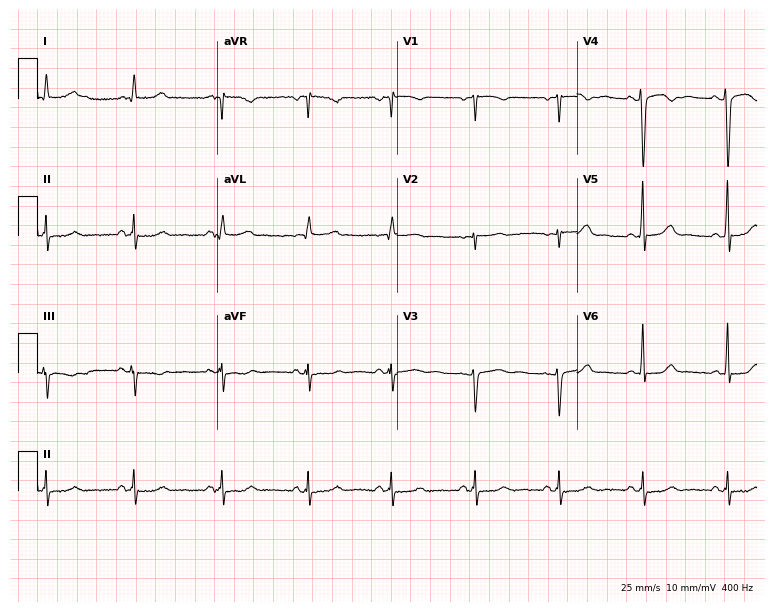
12-lead ECG (7.3-second recording at 400 Hz) from a 37-year-old woman. Screened for six findings — first-degree AV block, right bundle branch block, left bundle branch block, sinus bradycardia, atrial fibrillation, sinus tachycardia — none is recorded. Only these six findings were labelled.